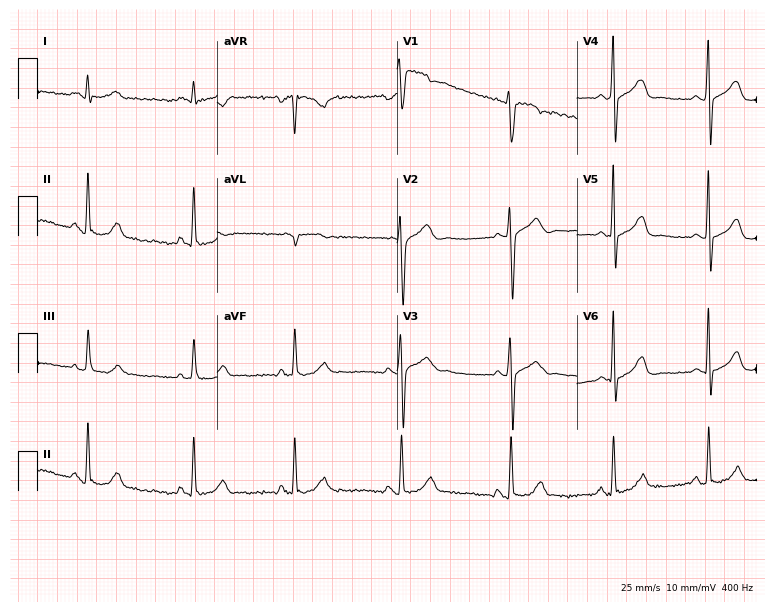
12-lead ECG from a male patient, 36 years old. No first-degree AV block, right bundle branch block (RBBB), left bundle branch block (LBBB), sinus bradycardia, atrial fibrillation (AF) or sinus tachycardia recorded for this tracing.